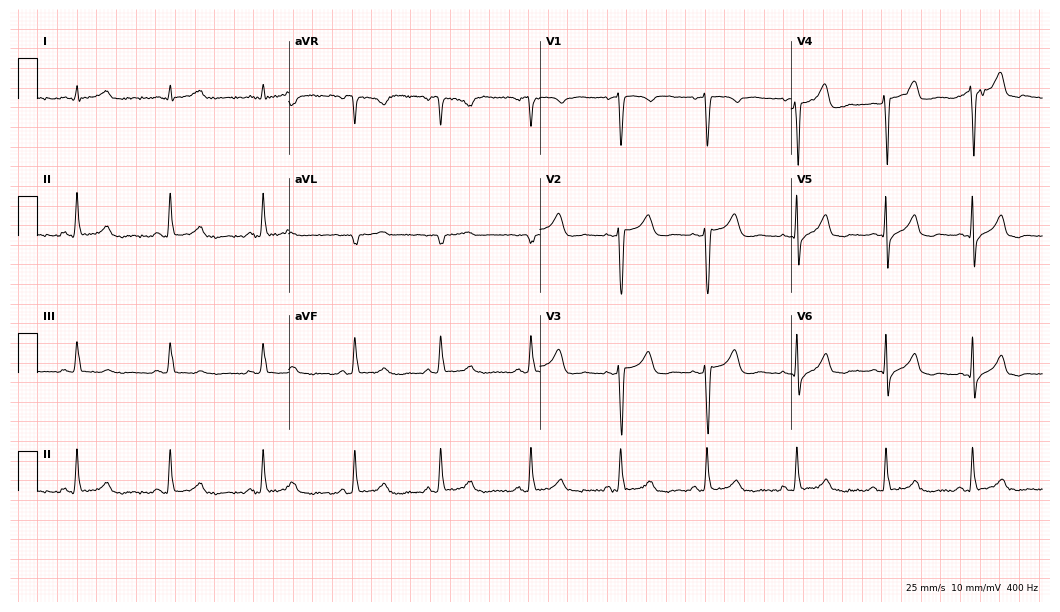
12-lead ECG (10.2-second recording at 400 Hz) from a woman, 37 years old. Labelled as a normal ECG.